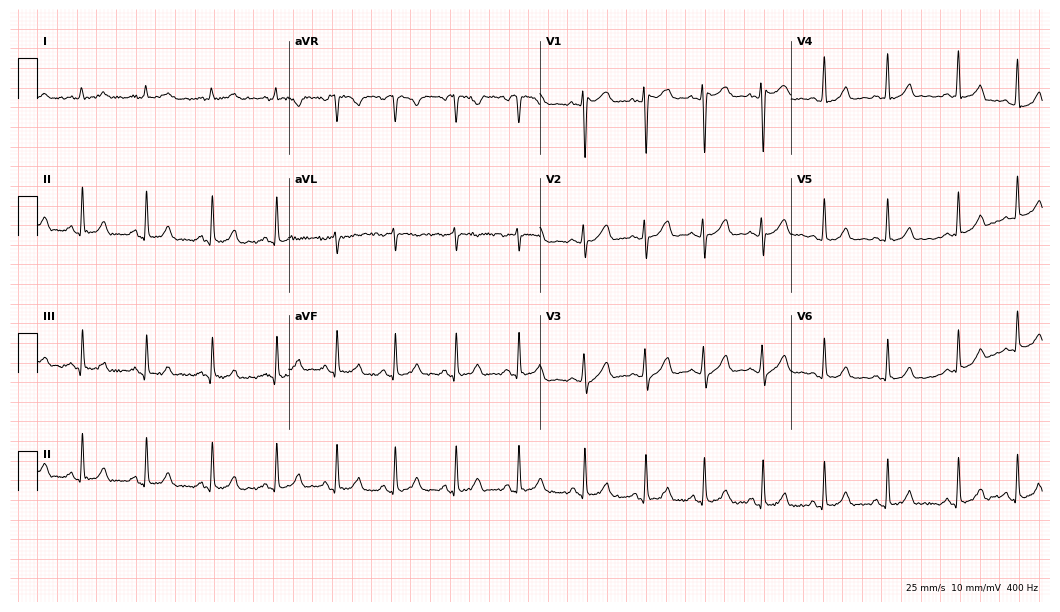
12-lead ECG from an 18-year-old woman (10.2-second recording at 400 Hz). No first-degree AV block, right bundle branch block (RBBB), left bundle branch block (LBBB), sinus bradycardia, atrial fibrillation (AF) or sinus tachycardia recorded for this tracing. Findings outside these six are not listed.